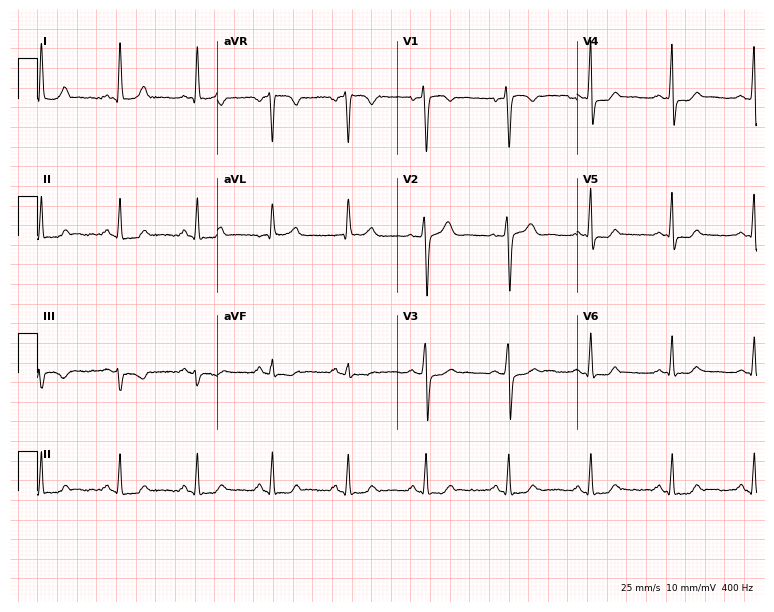
Electrocardiogram (7.3-second recording at 400 Hz), a male, 45 years old. Of the six screened findings (first-degree AV block, right bundle branch block (RBBB), left bundle branch block (LBBB), sinus bradycardia, atrial fibrillation (AF), sinus tachycardia), none is recorded. Other findings, if any, are not listed.